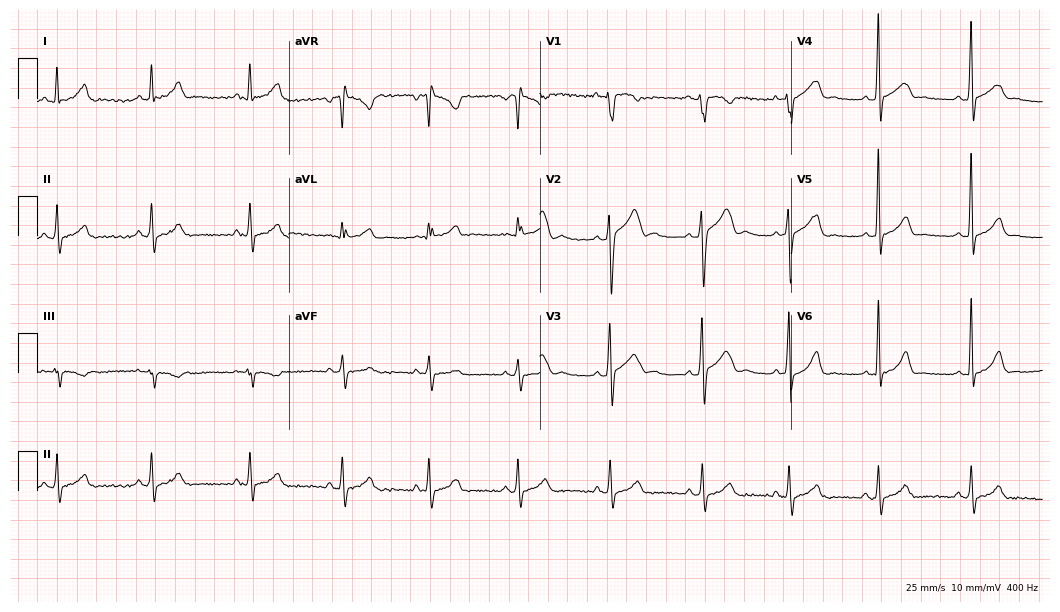
12-lead ECG (10.2-second recording at 400 Hz) from a male, 20 years old. Labelled as a normal ECG.